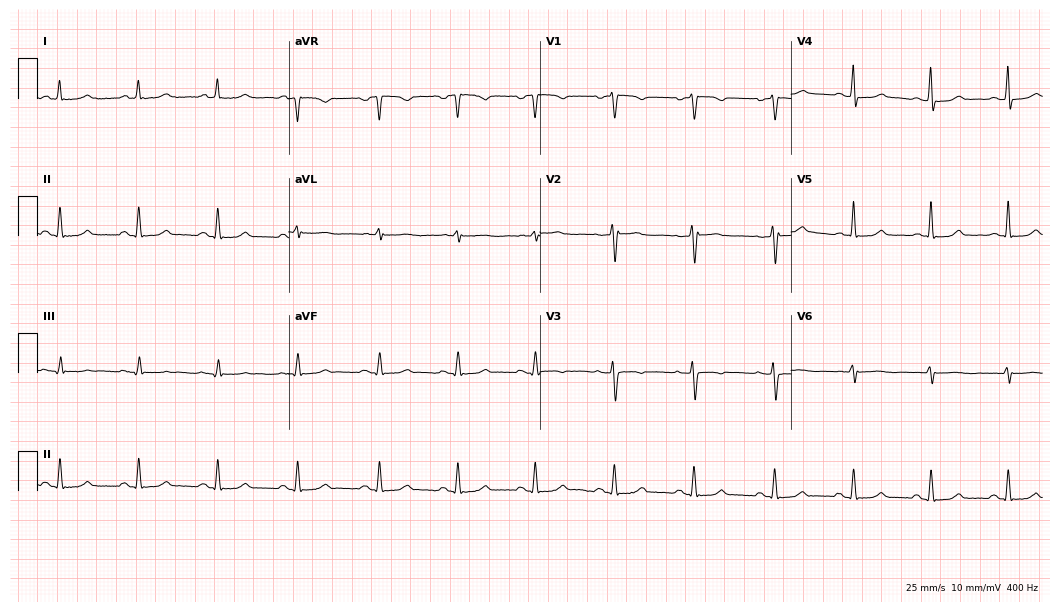
Standard 12-lead ECG recorded from a 46-year-old woman. None of these six findings is recorded: first-degree AV block, right bundle branch block, left bundle branch block, sinus bradycardia, atrial fibrillation, sinus tachycardia. Other findings, if any, are not listed.